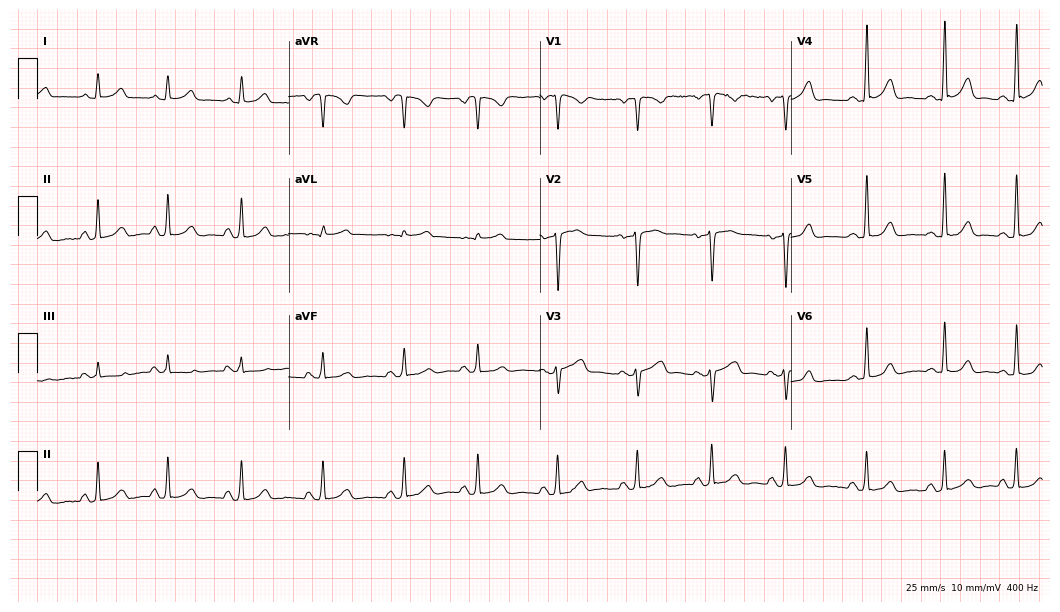
Electrocardiogram (10.2-second recording at 400 Hz), a woman, 27 years old. Of the six screened findings (first-degree AV block, right bundle branch block, left bundle branch block, sinus bradycardia, atrial fibrillation, sinus tachycardia), none is recorded. Findings outside these six are not listed.